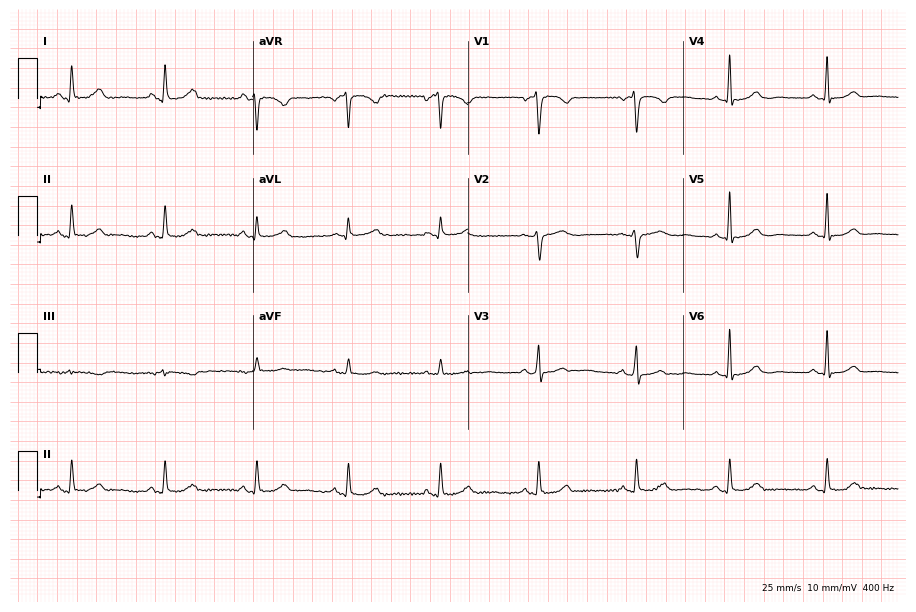
ECG — a 50-year-old female patient. Labelled as a normal ECG.